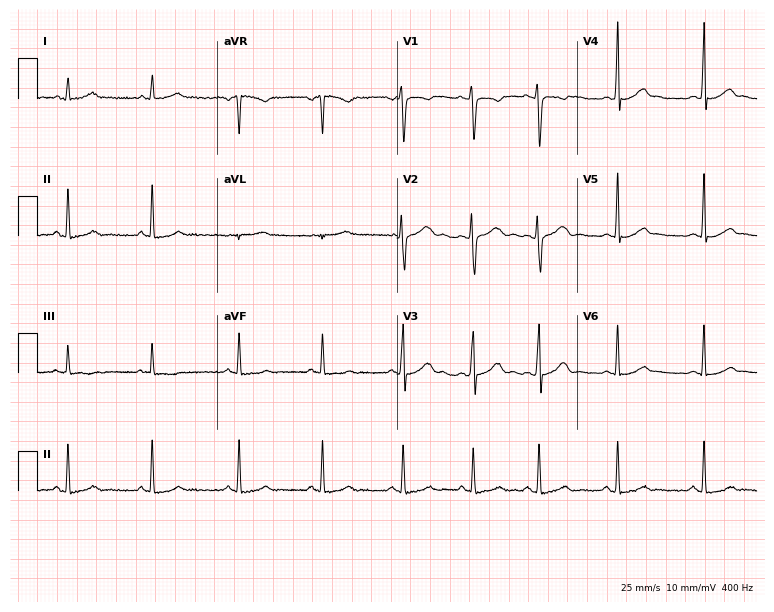
Electrocardiogram, a 24-year-old woman. Overall reading on record: normal ECG.